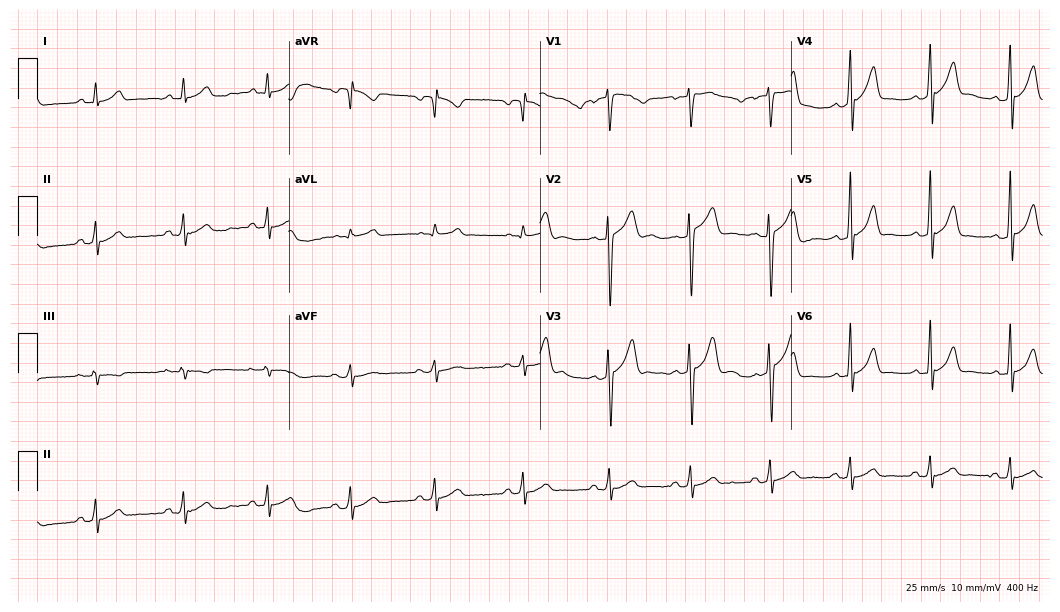
ECG (10.2-second recording at 400 Hz) — a male, 31 years old. Labelled as a normal ECG.